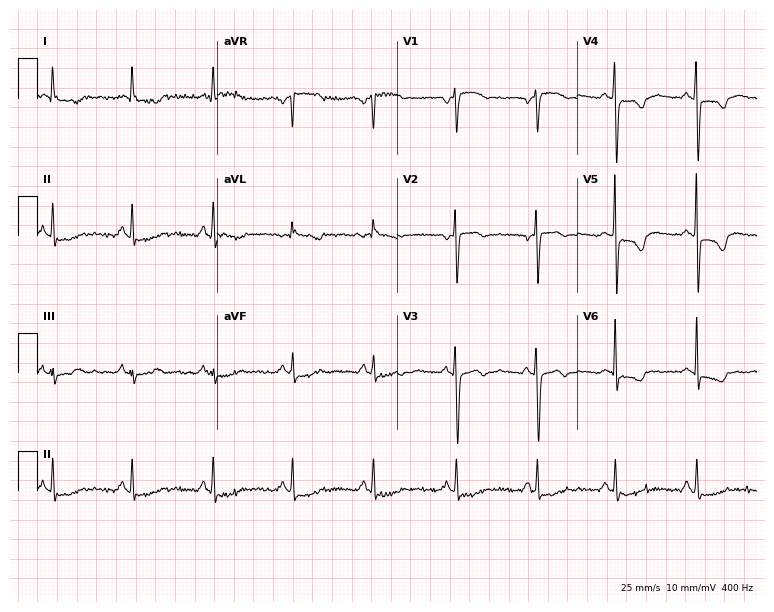
ECG (7.3-second recording at 400 Hz) — a 46-year-old female. Screened for six findings — first-degree AV block, right bundle branch block, left bundle branch block, sinus bradycardia, atrial fibrillation, sinus tachycardia — none is recorded.